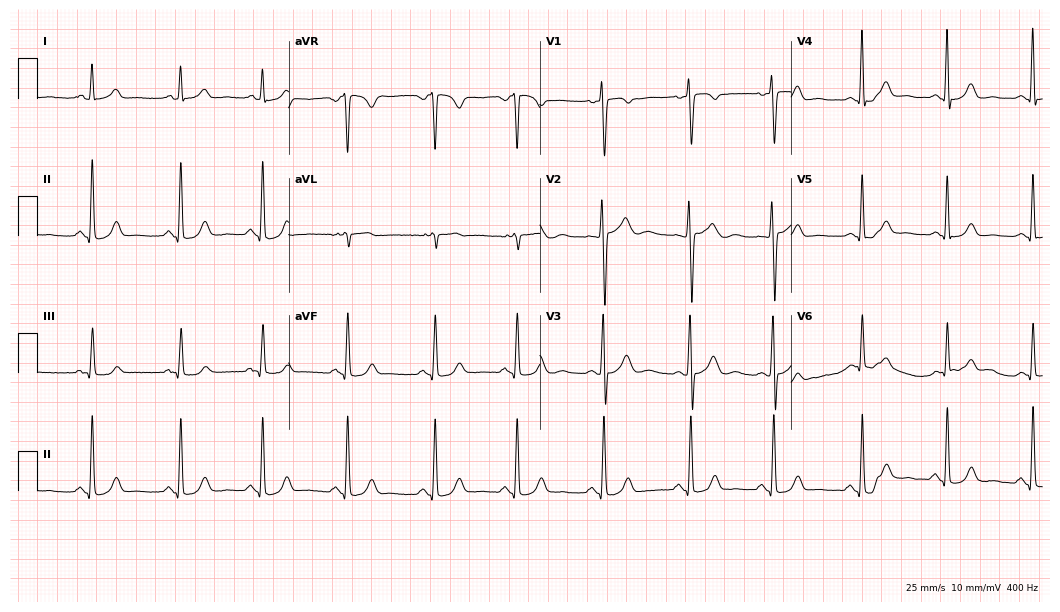
12-lead ECG (10.2-second recording at 400 Hz) from a 39-year-old female patient. Screened for six findings — first-degree AV block, right bundle branch block, left bundle branch block, sinus bradycardia, atrial fibrillation, sinus tachycardia — none is recorded.